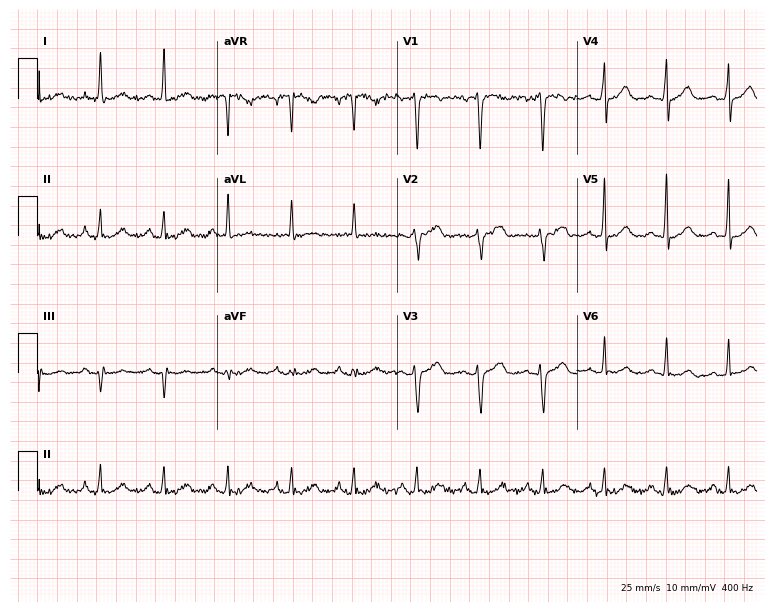
Standard 12-lead ECG recorded from a 42-year-old female (7.3-second recording at 400 Hz). Read as a normal ECG.